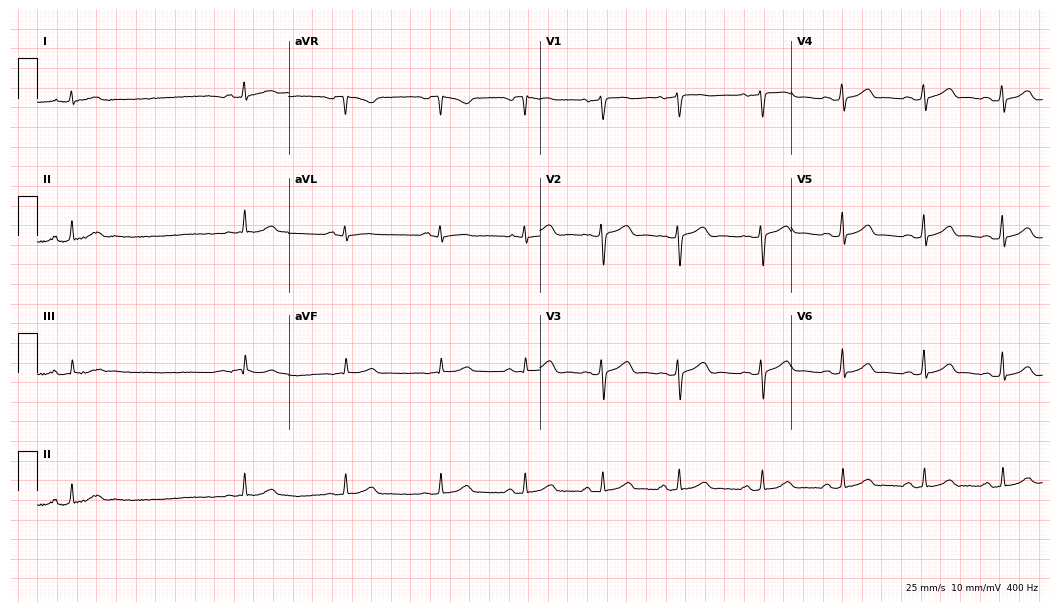
Resting 12-lead electrocardiogram (10.2-second recording at 400 Hz). Patient: a 48-year-old female. None of these six findings is recorded: first-degree AV block, right bundle branch block (RBBB), left bundle branch block (LBBB), sinus bradycardia, atrial fibrillation (AF), sinus tachycardia.